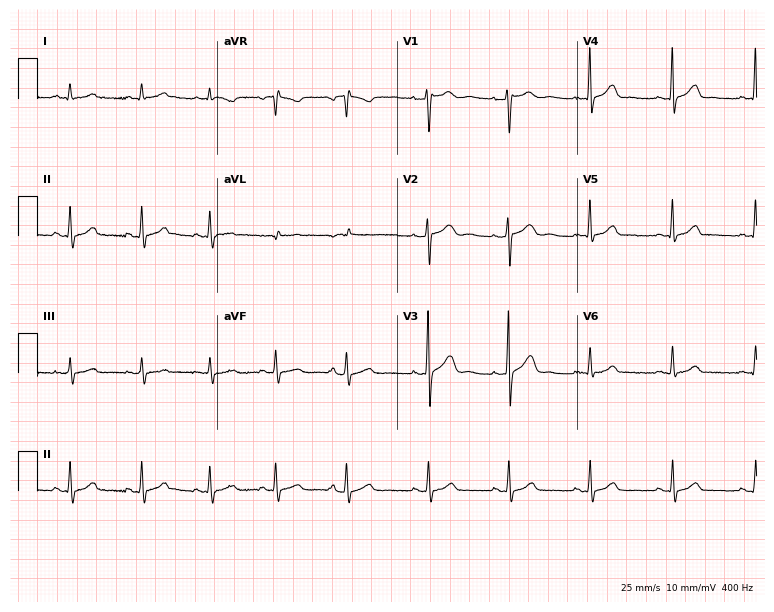
12-lead ECG from a female patient, 28 years old (7.3-second recording at 400 Hz). Recorded interpretation: within normal limits.